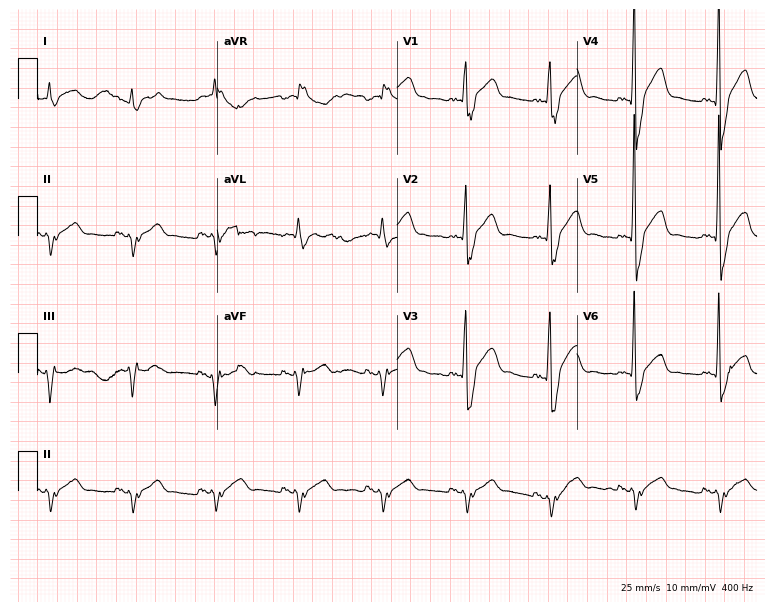
Electrocardiogram (7.3-second recording at 400 Hz), a male patient, 74 years old. Of the six screened findings (first-degree AV block, right bundle branch block (RBBB), left bundle branch block (LBBB), sinus bradycardia, atrial fibrillation (AF), sinus tachycardia), none is recorded. Findings outside these six are not listed.